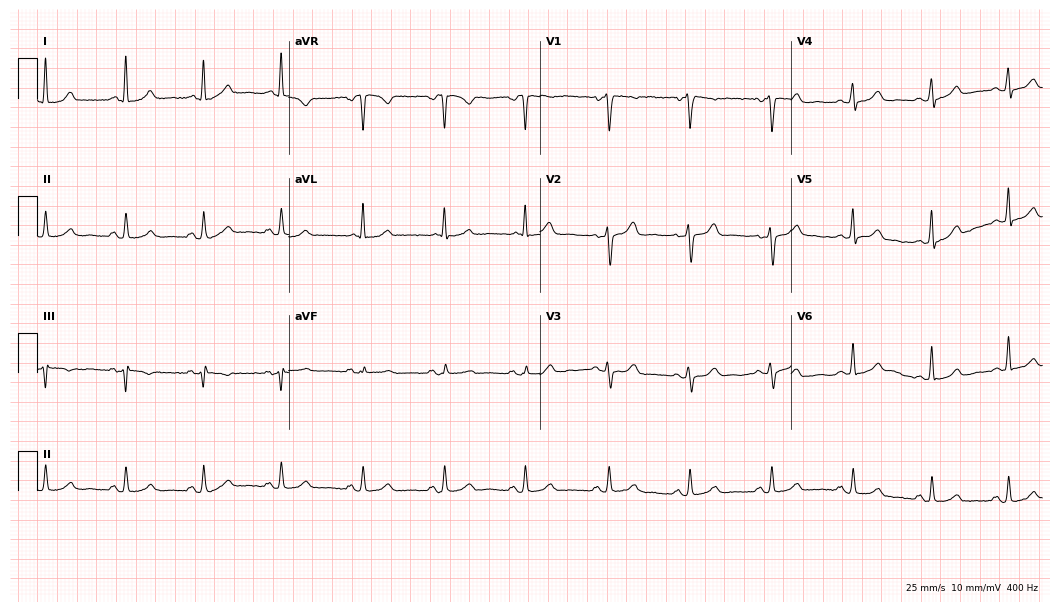
Standard 12-lead ECG recorded from a 53-year-old female. Read as a normal ECG.